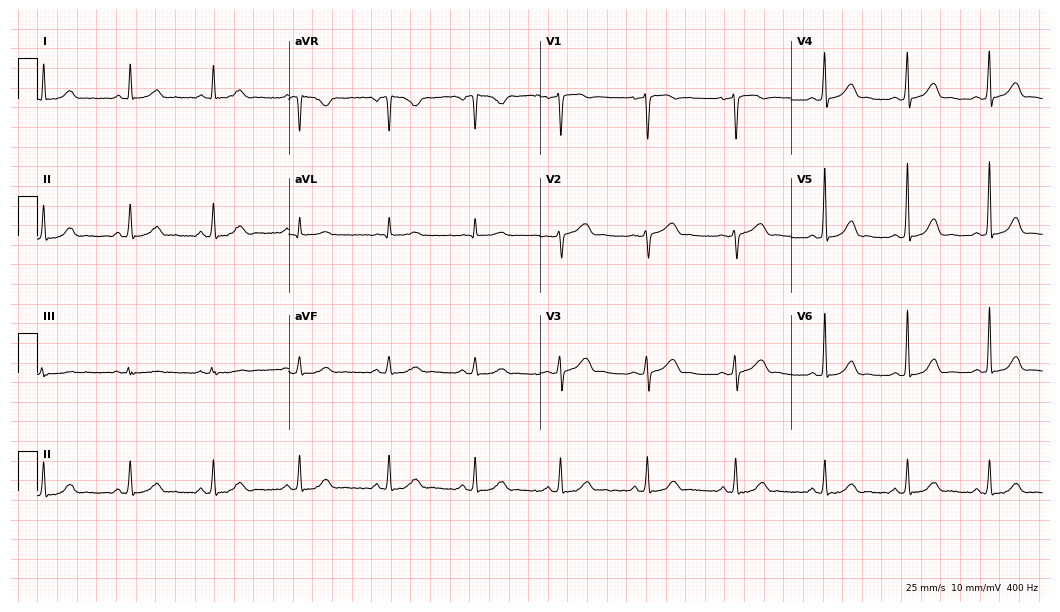
Standard 12-lead ECG recorded from a 58-year-old female patient. None of these six findings is recorded: first-degree AV block, right bundle branch block, left bundle branch block, sinus bradycardia, atrial fibrillation, sinus tachycardia.